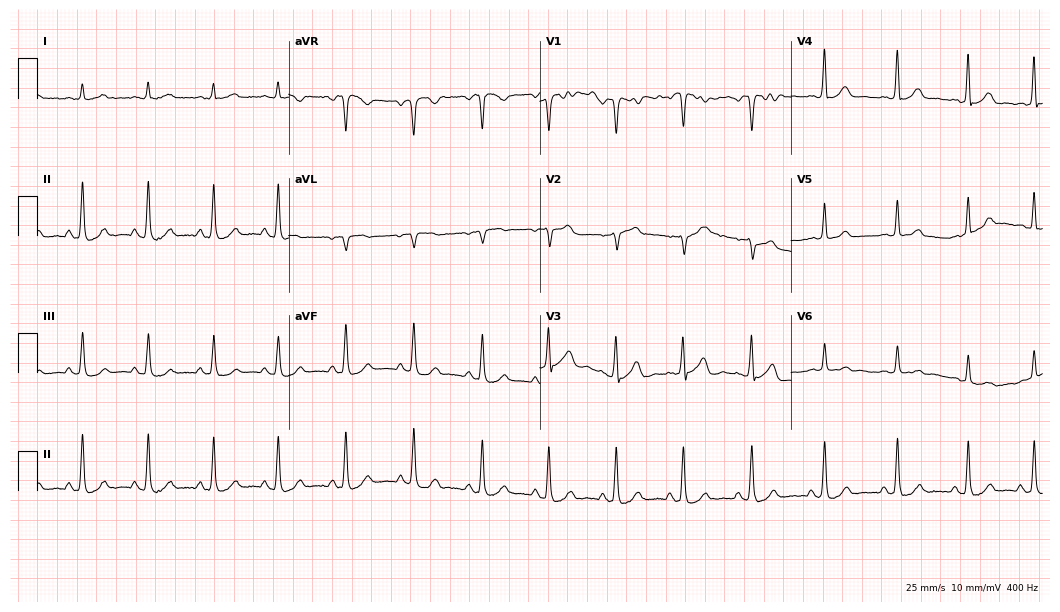
12-lead ECG (10.2-second recording at 400 Hz) from a male patient, 63 years old. Screened for six findings — first-degree AV block, right bundle branch block, left bundle branch block, sinus bradycardia, atrial fibrillation, sinus tachycardia — none is recorded. Other findings, if any, are not listed.